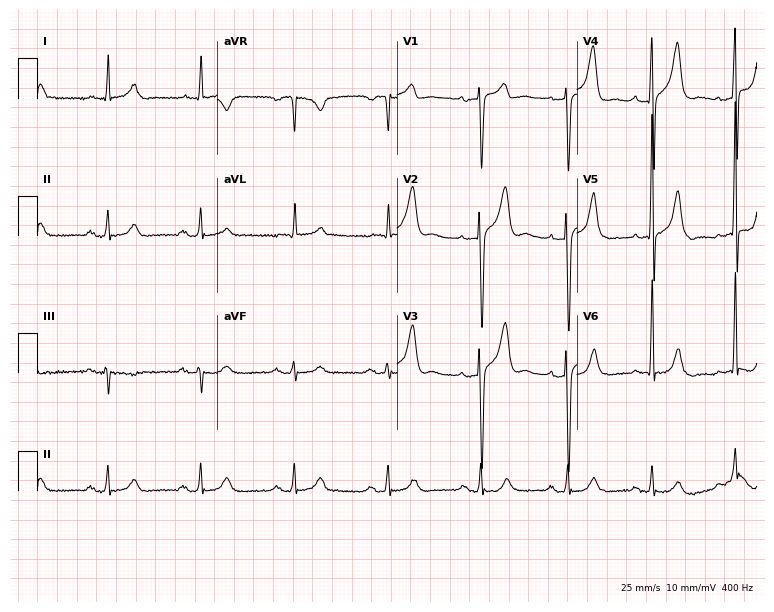
ECG — a 75-year-old male patient. Screened for six findings — first-degree AV block, right bundle branch block (RBBB), left bundle branch block (LBBB), sinus bradycardia, atrial fibrillation (AF), sinus tachycardia — none is recorded. Other findings, if any, are not listed.